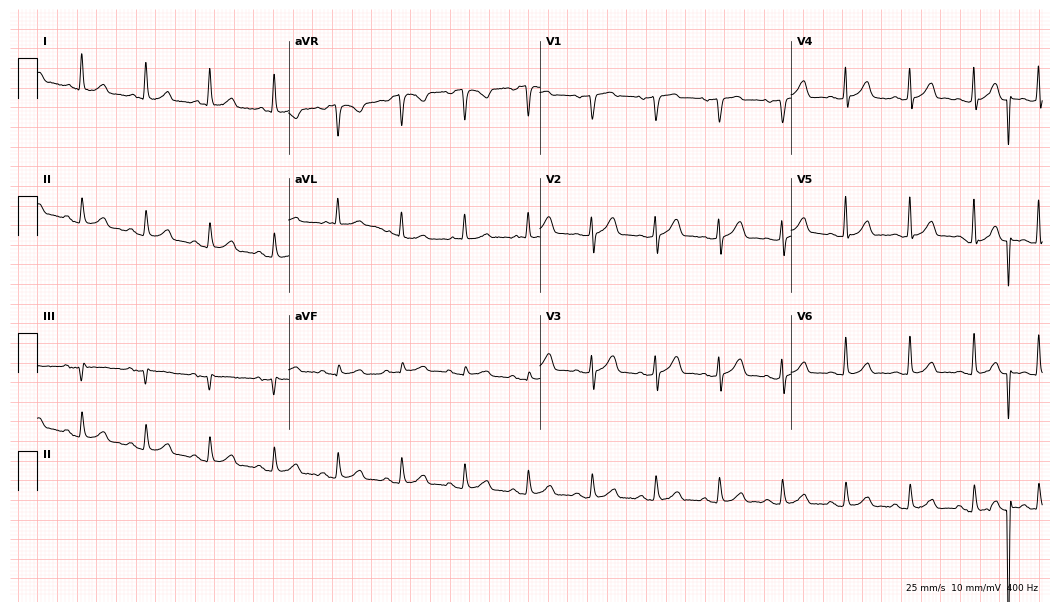
12-lead ECG from a 73-year-old male patient. No first-degree AV block, right bundle branch block, left bundle branch block, sinus bradycardia, atrial fibrillation or sinus tachycardia recorded for this tracing. Only these six findings were labelled.